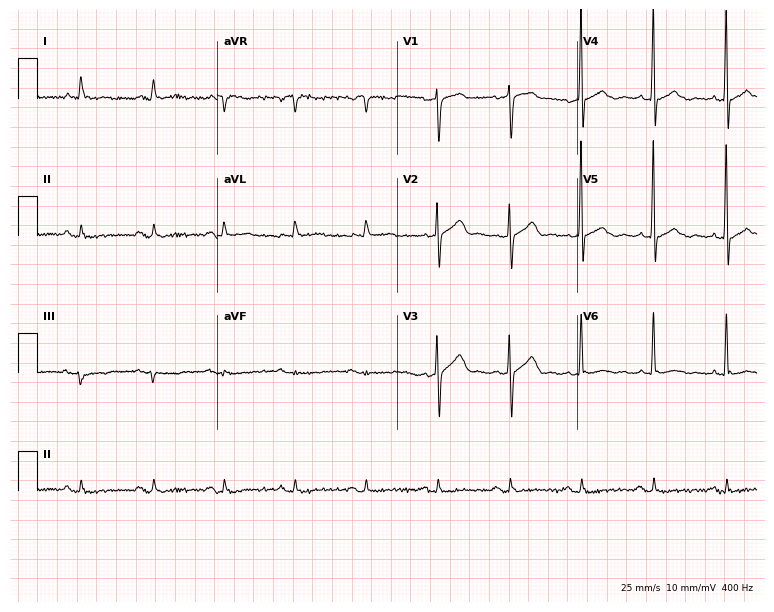
ECG — a man, 80 years old. Screened for six findings — first-degree AV block, right bundle branch block (RBBB), left bundle branch block (LBBB), sinus bradycardia, atrial fibrillation (AF), sinus tachycardia — none is recorded. Findings outside these six are not listed.